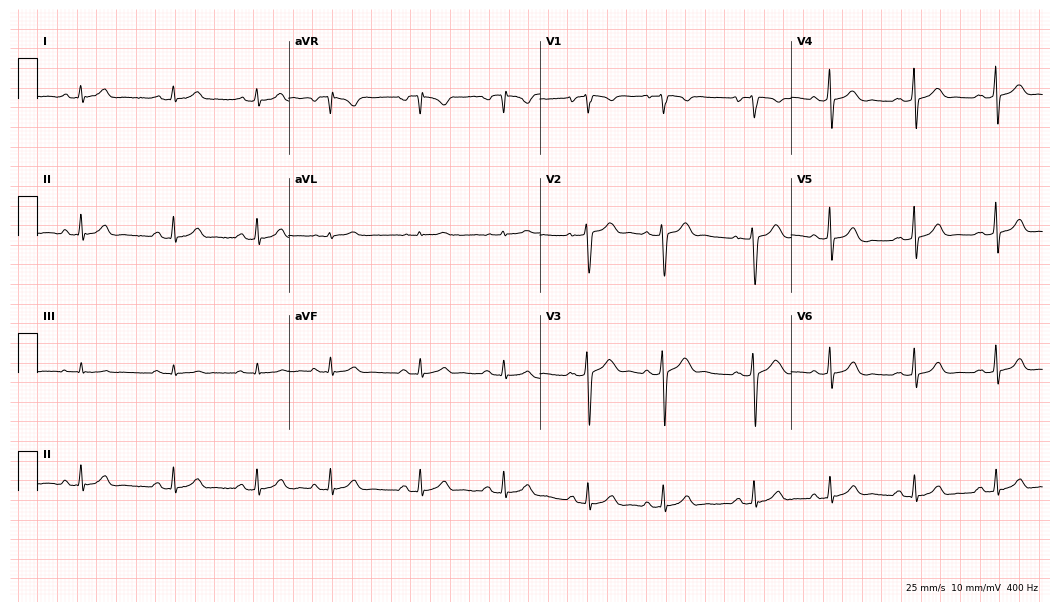
Electrocardiogram, a 26-year-old female patient. Overall reading on record: normal ECG.